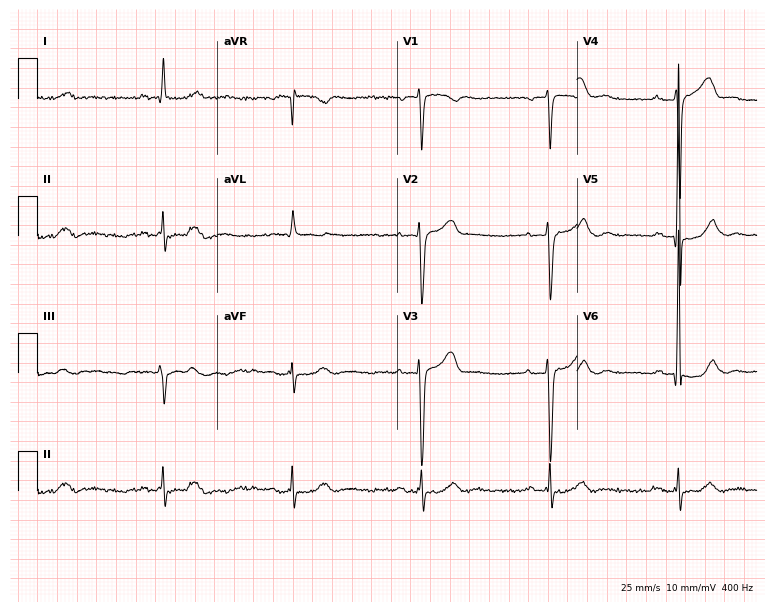
12-lead ECG (7.3-second recording at 400 Hz) from a 59-year-old man. Findings include first-degree AV block, sinus bradycardia (a sinus rate of 50 beats per minute or less).